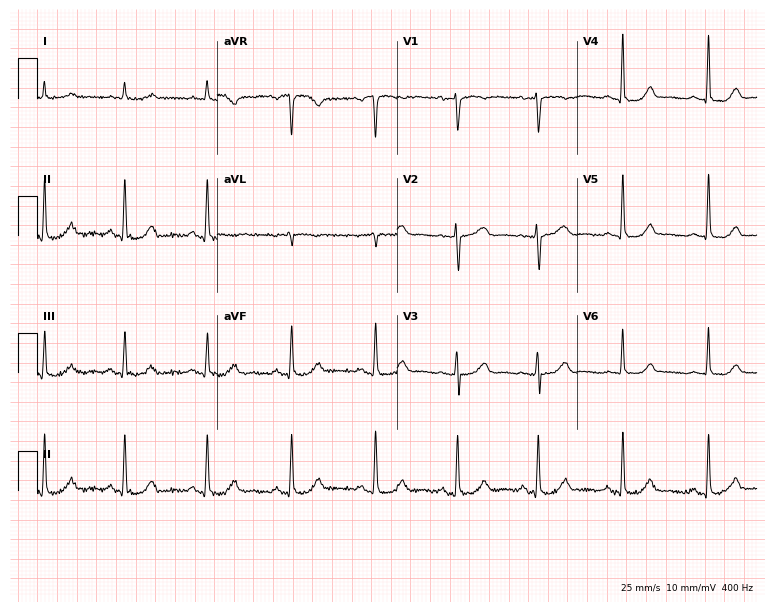
ECG (7.3-second recording at 400 Hz) — a 67-year-old woman. Screened for six findings — first-degree AV block, right bundle branch block, left bundle branch block, sinus bradycardia, atrial fibrillation, sinus tachycardia — none is recorded. Other findings, if any, are not listed.